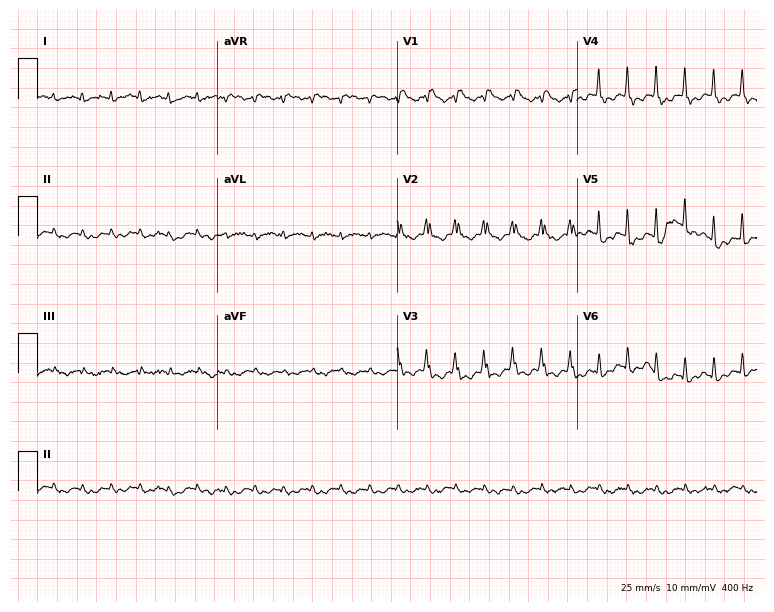
ECG — a 72-year-old man. Screened for six findings — first-degree AV block, right bundle branch block, left bundle branch block, sinus bradycardia, atrial fibrillation, sinus tachycardia — none is recorded. Findings outside these six are not listed.